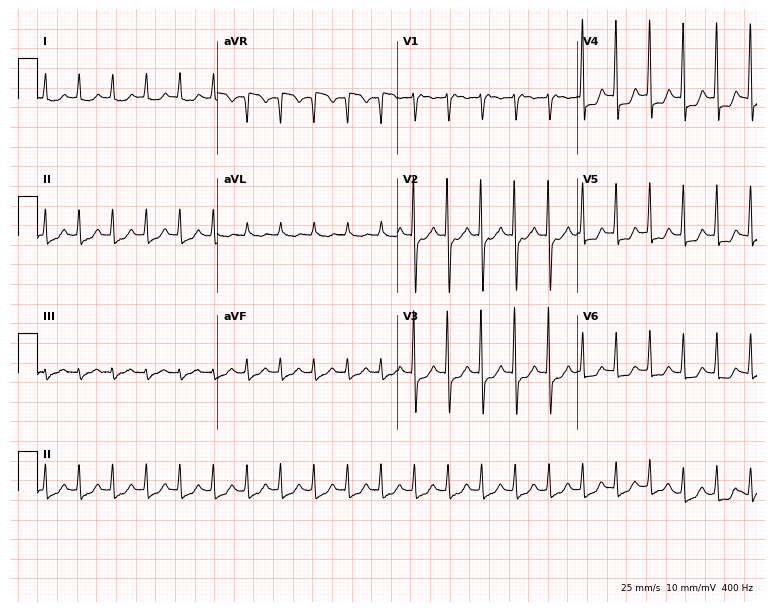
12-lead ECG from a female, 75 years old (7.3-second recording at 400 Hz). Shows sinus tachycardia (a sinus rate of 100 beats per minute or more).